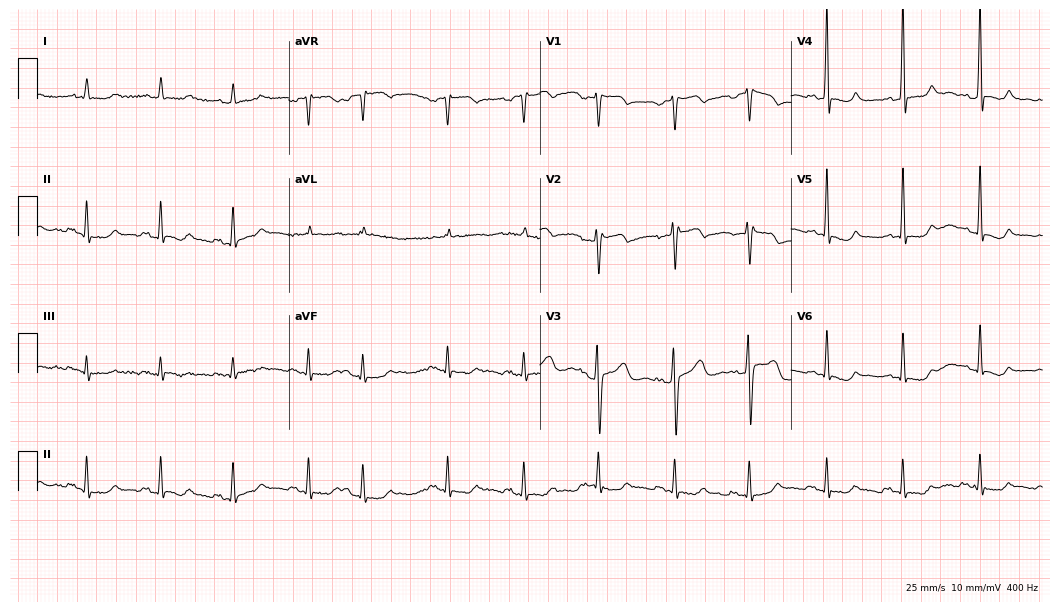
Resting 12-lead electrocardiogram (10.2-second recording at 400 Hz). Patient: a 63-year-old man. None of these six findings is recorded: first-degree AV block, right bundle branch block (RBBB), left bundle branch block (LBBB), sinus bradycardia, atrial fibrillation (AF), sinus tachycardia. Other findings, if any, are not listed.